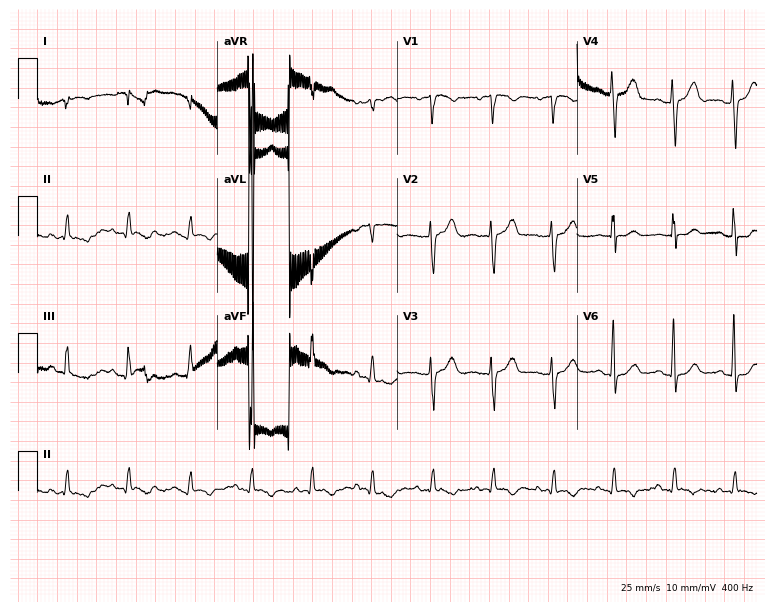
12-lead ECG from a female, 47 years old. No first-degree AV block, right bundle branch block, left bundle branch block, sinus bradycardia, atrial fibrillation or sinus tachycardia recorded for this tracing. Other findings, if any, are not listed.